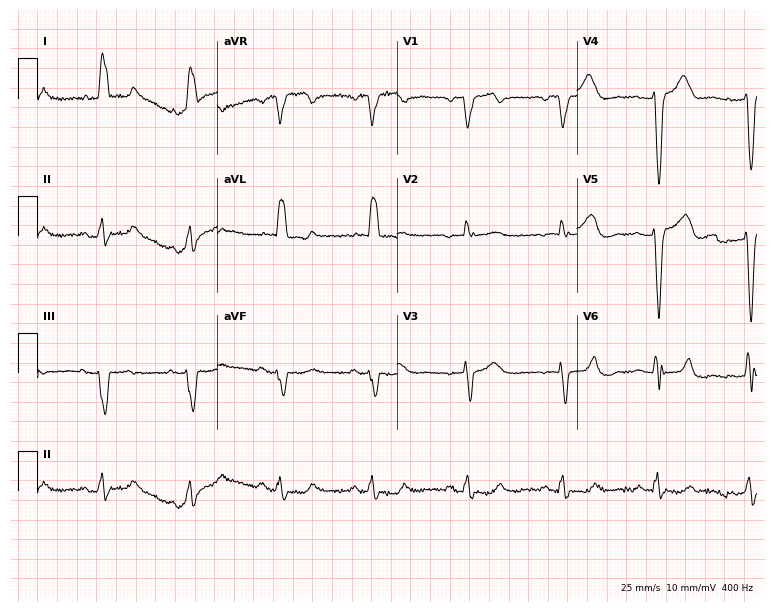
12-lead ECG from a 79-year-old female patient. Shows left bundle branch block.